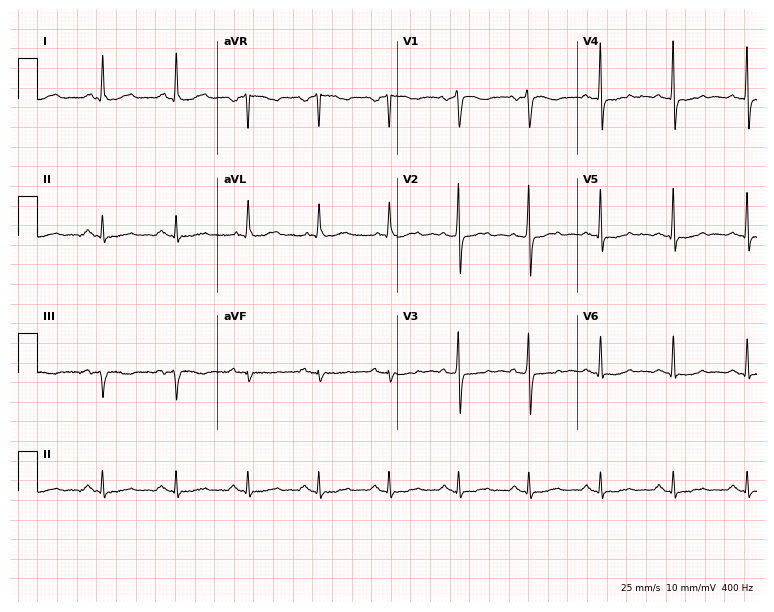
Resting 12-lead electrocardiogram (7.3-second recording at 400 Hz). Patient: a 70-year-old female. None of these six findings is recorded: first-degree AV block, right bundle branch block, left bundle branch block, sinus bradycardia, atrial fibrillation, sinus tachycardia. Findings outside these six are not listed.